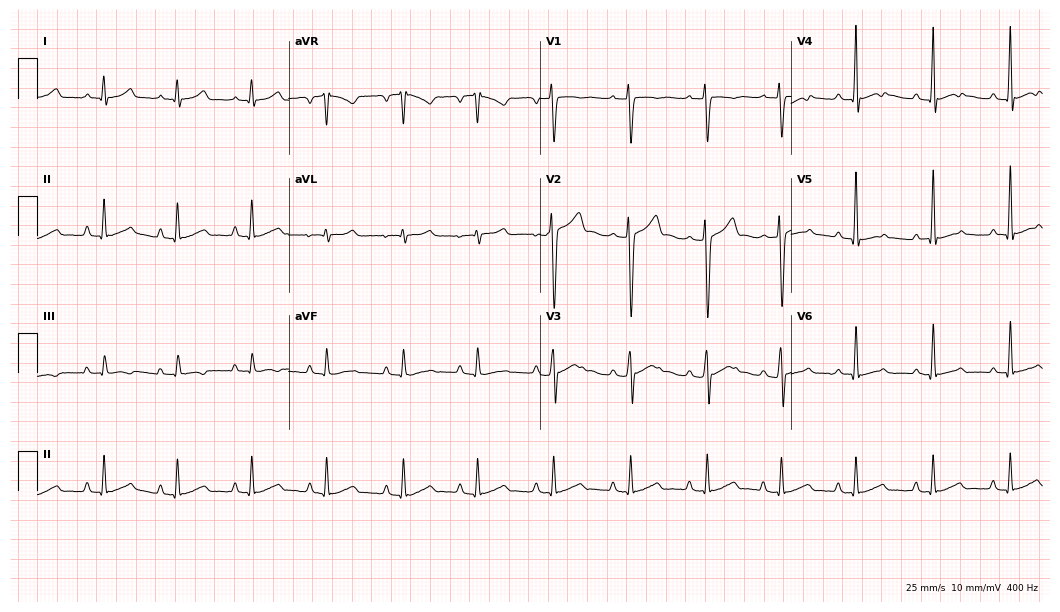
Standard 12-lead ECG recorded from a 21-year-old male patient (10.2-second recording at 400 Hz). None of these six findings is recorded: first-degree AV block, right bundle branch block, left bundle branch block, sinus bradycardia, atrial fibrillation, sinus tachycardia. Other findings, if any, are not listed.